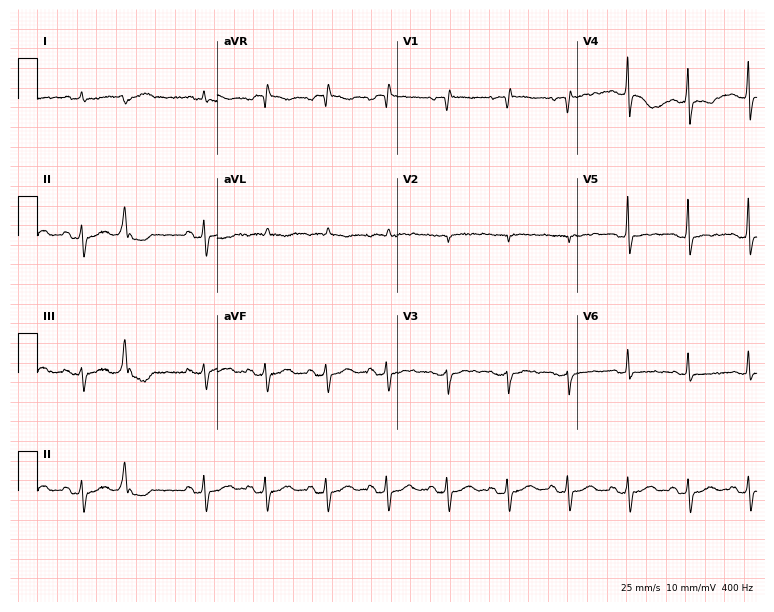
12-lead ECG from a woman, 80 years old. Screened for six findings — first-degree AV block, right bundle branch block, left bundle branch block, sinus bradycardia, atrial fibrillation, sinus tachycardia — none is recorded.